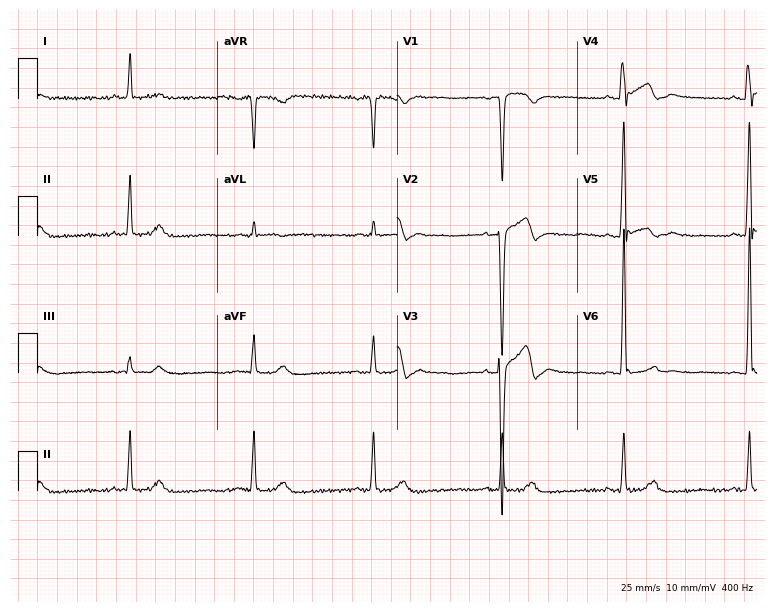
12-lead ECG (7.3-second recording at 400 Hz) from a man, 73 years old. Screened for six findings — first-degree AV block, right bundle branch block, left bundle branch block, sinus bradycardia, atrial fibrillation, sinus tachycardia — none is recorded. Other findings, if any, are not listed.